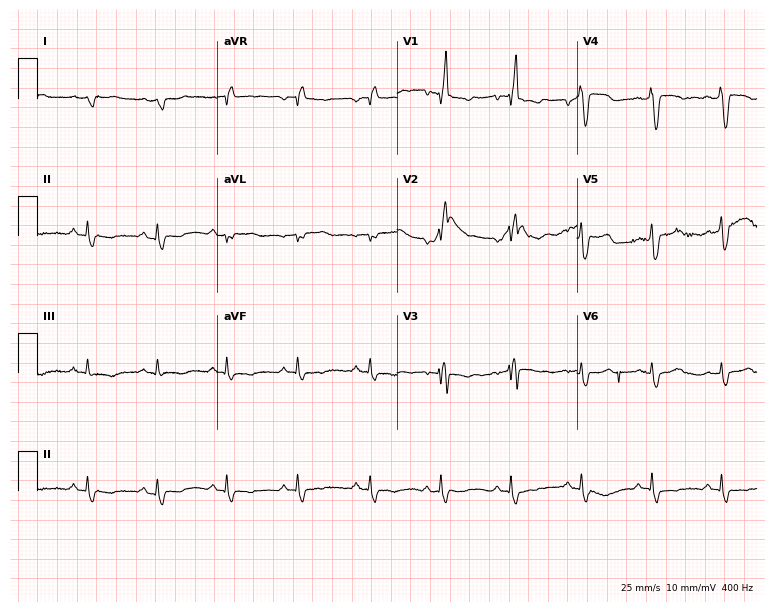
Standard 12-lead ECG recorded from a 75-year-old male (7.3-second recording at 400 Hz). None of these six findings is recorded: first-degree AV block, right bundle branch block, left bundle branch block, sinus bradycardia, atrial fibrillation, sinus tachycardia.